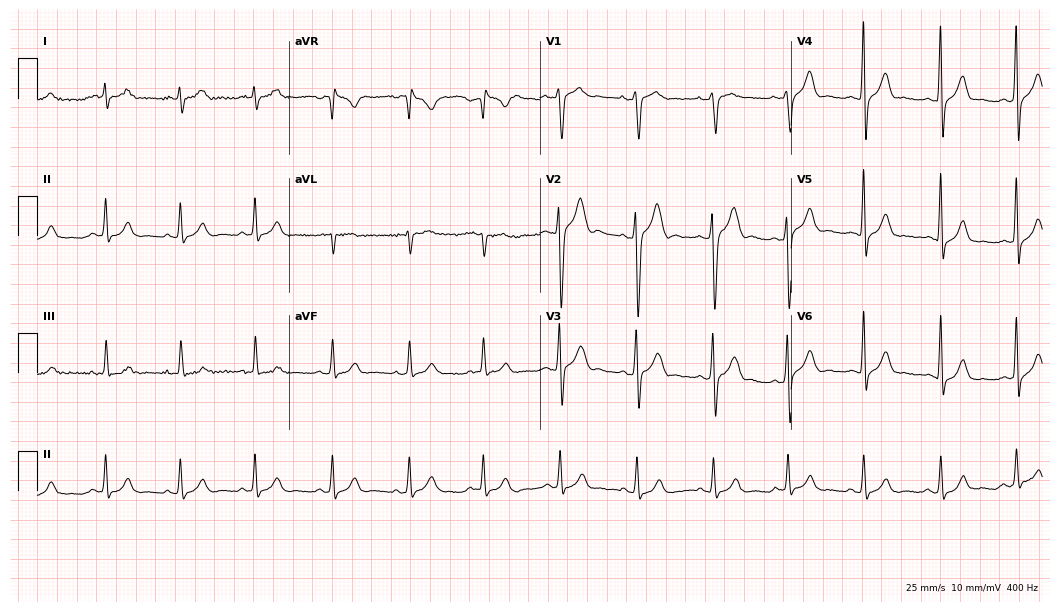
Standard 12-lead ECG recorded from a 24-year-old man. Read as a normal ECG.